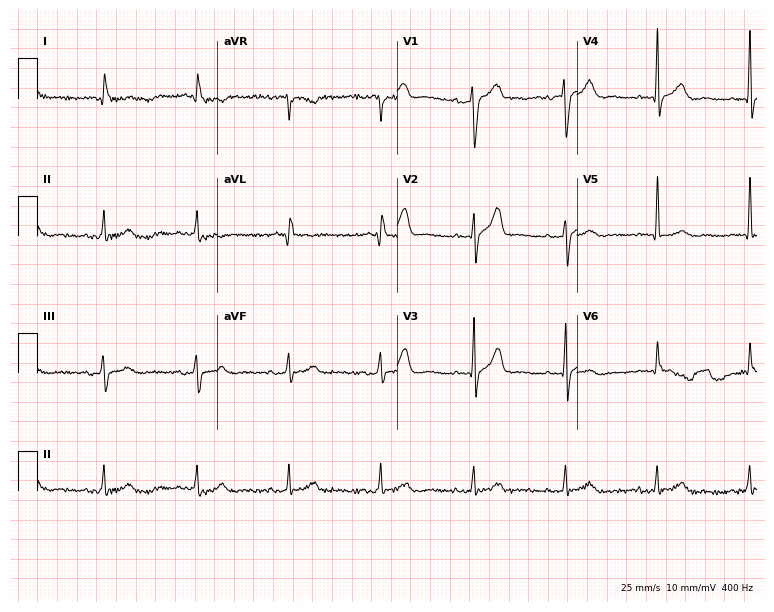
12-lead ECG from a man, 74 years old. Screened for six findings — first-degree AV block, right bundle branch block, left bundle branch block, sinus bradycardia, atrial fibrillation, sinus tachycardia — none is recorded.